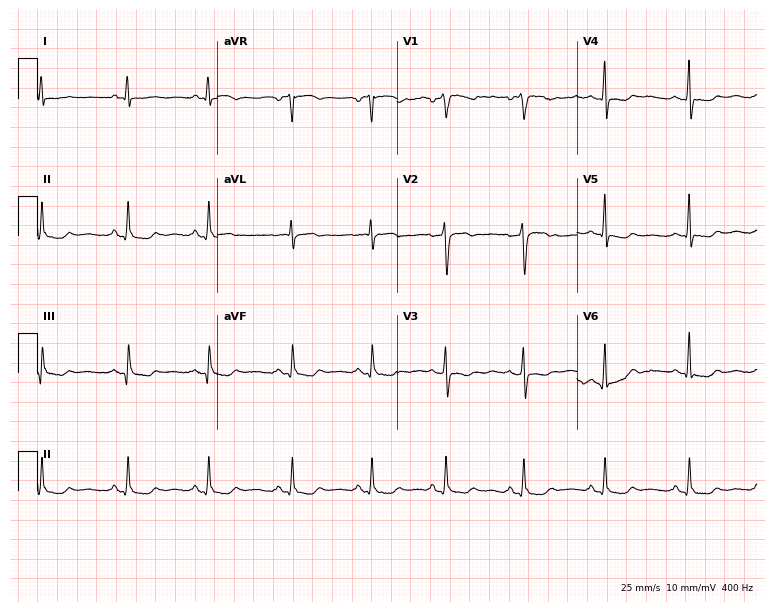
ECG — a 53-year-old female. Screened for six findings — first-degree AV block, right bundle branch block (RBBB), left bundle branch block (LBBB), sinus bradycardia, atrial fibrillation (AF), sinus tachycardia — none is recorded. Only these six findings were labelled.